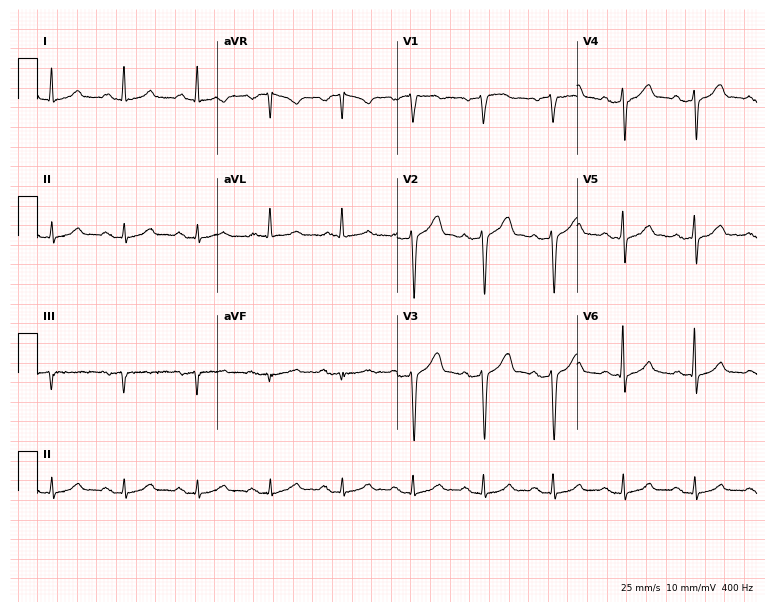
Resting 12-lead electrocardiogram. Patient: a 74-year-old male. None of these six findings is recorded: first-degree AV block, right bundle branch block (RBBB), left bundle branch block (LBBB), sinus bradycardia, atrial fibrillation (AF), sinus tachycardia.